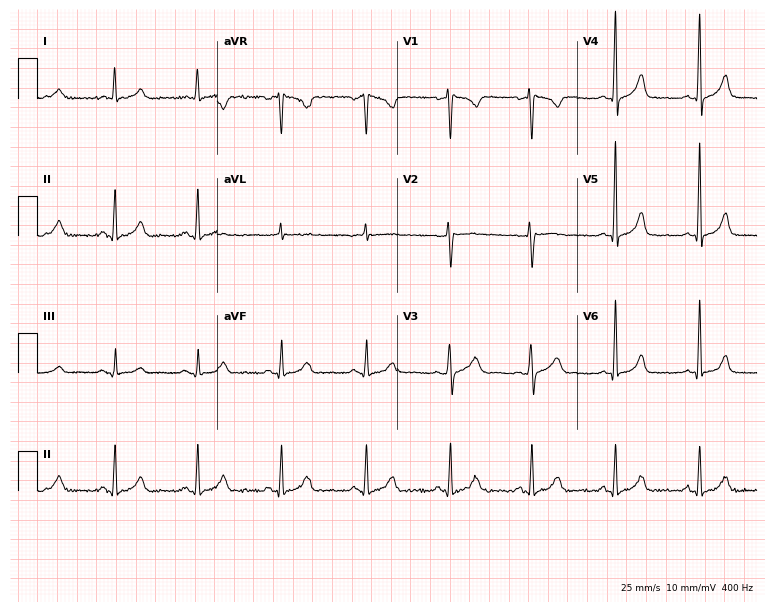
12-lead ECG (7.3-second recording at 400 Hz) from a 41-year-old female patient. Labelled as a normal ECG.